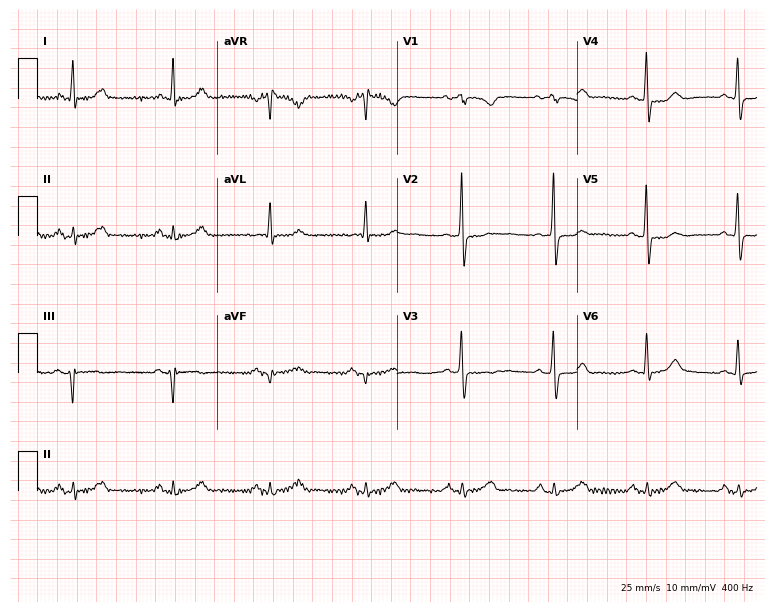
12-lead ECG (7.3-second recording at 400 Hz) from a 57-year-old female. Screened for six findings — first-degree AV block, right bundle branch block, left bundle branch block, sinus bradycardia, atrial fibrillation, sinus tachycardia — none is recorded.